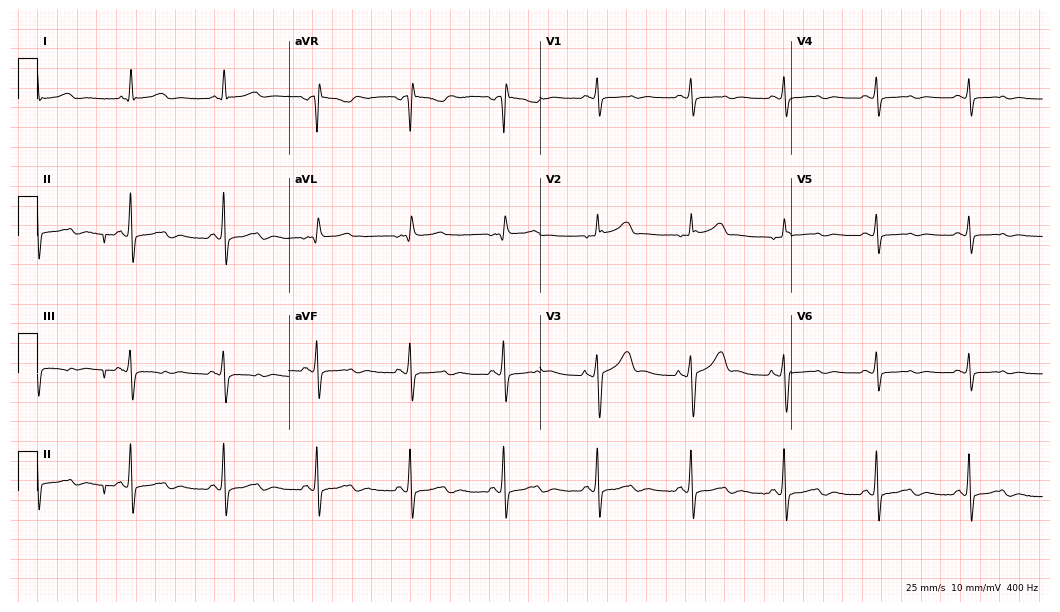
Resting 12-lead electrocardiogram. Patient: a 79-year-old male. Read as a normal ECG.